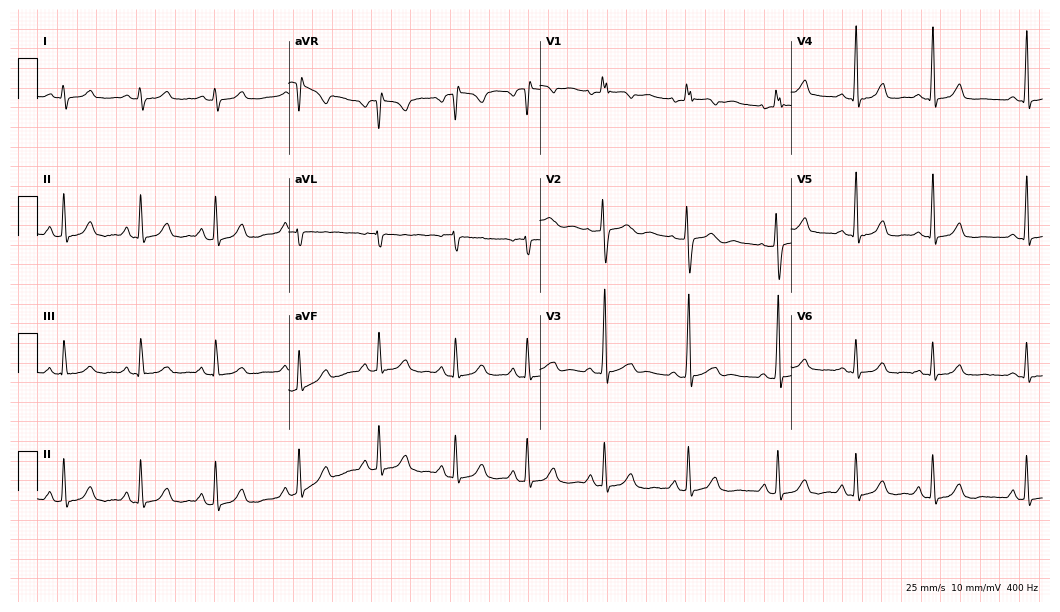
ECG — a 25-year-old female. Labelled as a normal ECG.